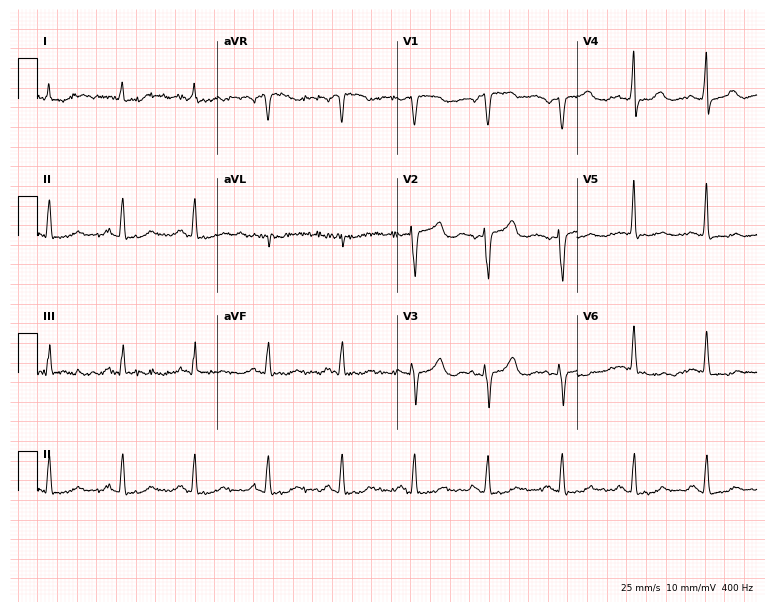
12-lead ECG (7.3-second recording at 400 Hz) from a 61-year-old female patient. Labelled as a normal ECG.